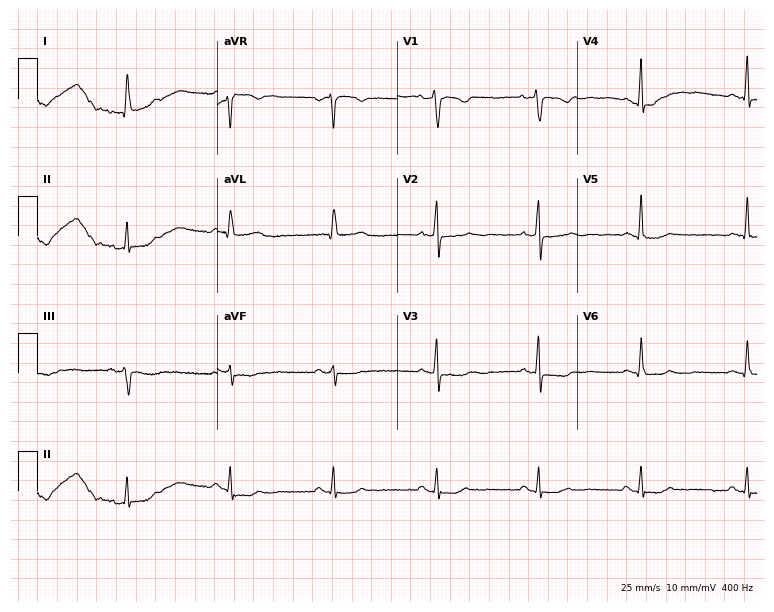
Resting 12-lead electrocardiogram (7.3-second recording at 400 Hz). Patient: a female, 60 years old. None of these six findings is recorded: first-degree AV block, right bundle branch block, left bundle branch block, sinus bradycardia, atrial fibrillation, sinus tachycardia.